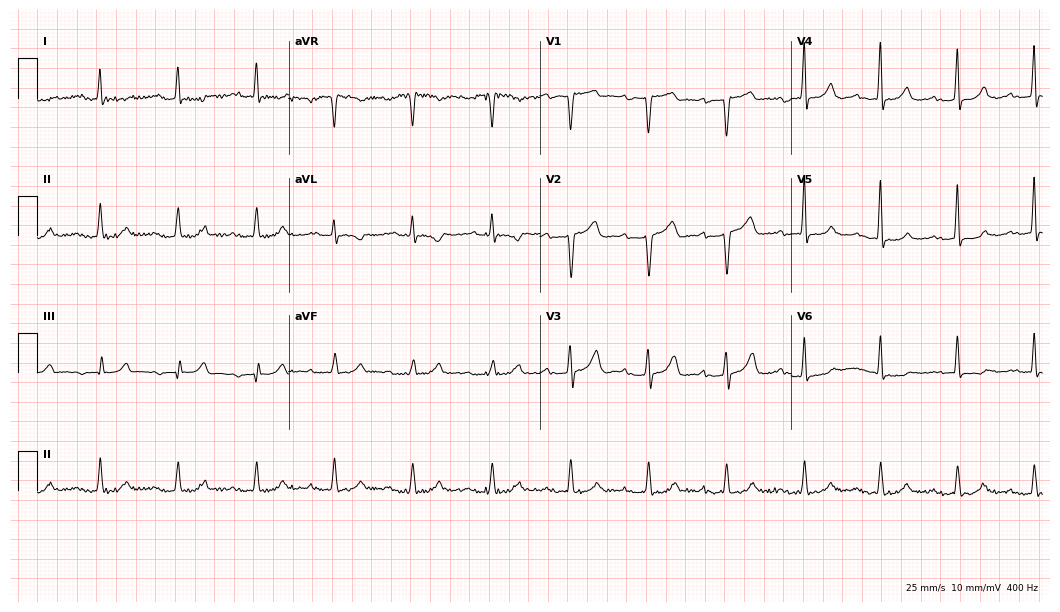
Standard 12-lead ECG recorded from a man, 82 years old. Read as a normal ECG.